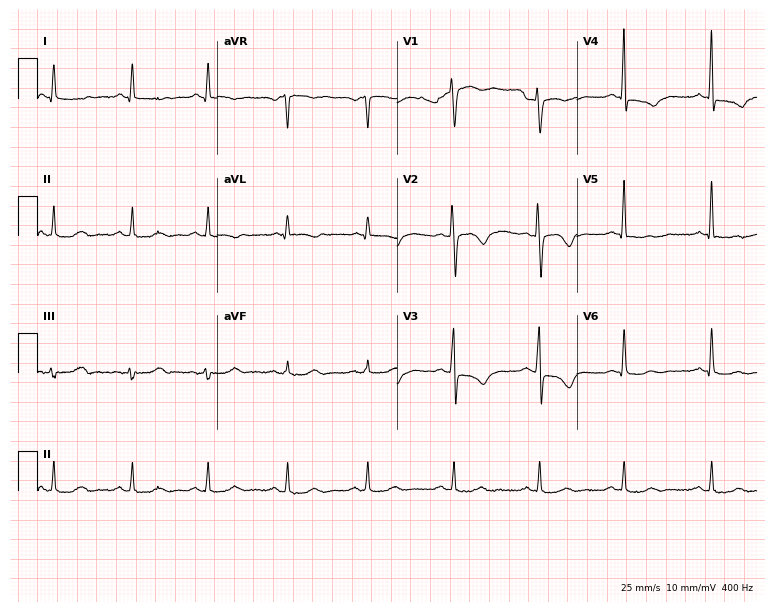
12-lead ECG (7.3-second recording at 400 Hz) from a 56-year-old woman. Screened for six findings — first-degree AV block, right bundle branch block, left bundle branch block, sinus bradycardia, atrial fibrillation, sinus tachycardia — none is recorded.